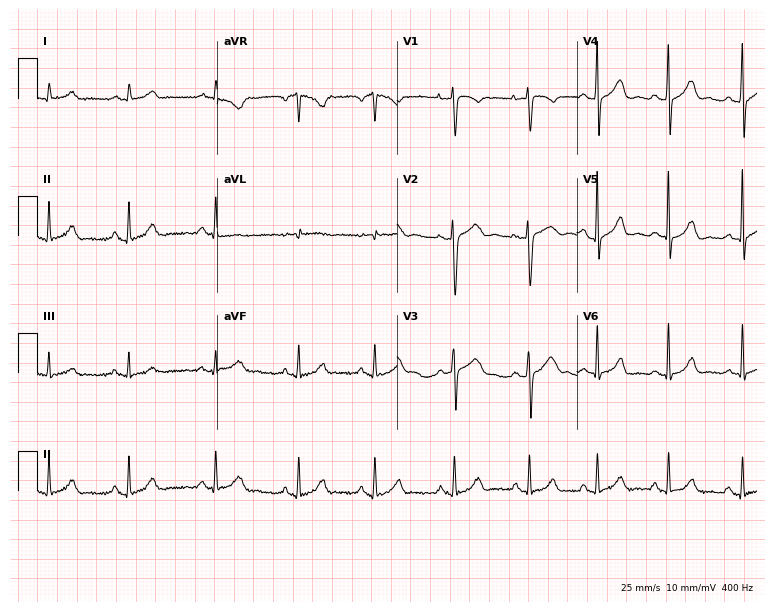
12-lead ECG from a woman, 30 years old. Recorded interpretation: within normal limits.